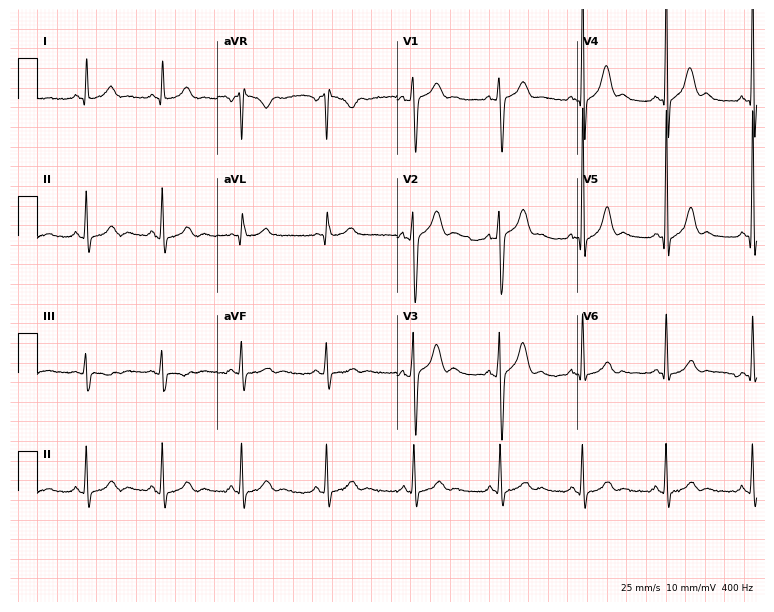
12-lead ECG (7.3-second recording at 400 Hz) from a man, 60 years old. Screened for six findings — first-degree AV block, right bundle branch block, left bundle branch block, sinus bradycardia, atrial fibrillation, sinus tachycardia — none is recorded. Findings outside these six are not listed.